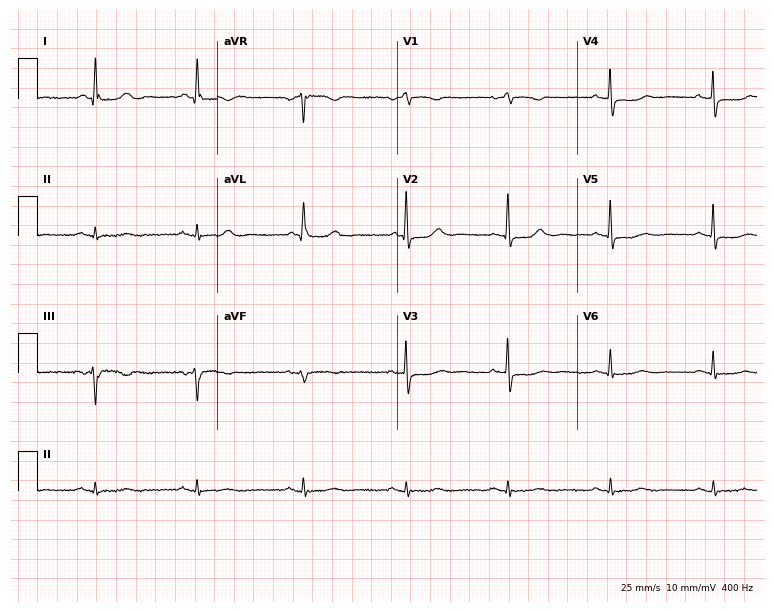
12-lead ECG (7.3-second recording at 400 Hz) from a female patient, 83 years old. Screened for six findings — first-degree AV block, right bundle branch block, left bundle branch block, sinus bradycardia, atrial fibrillation, sinus tachycardia — none is recorded. Only these six findings were labelled.